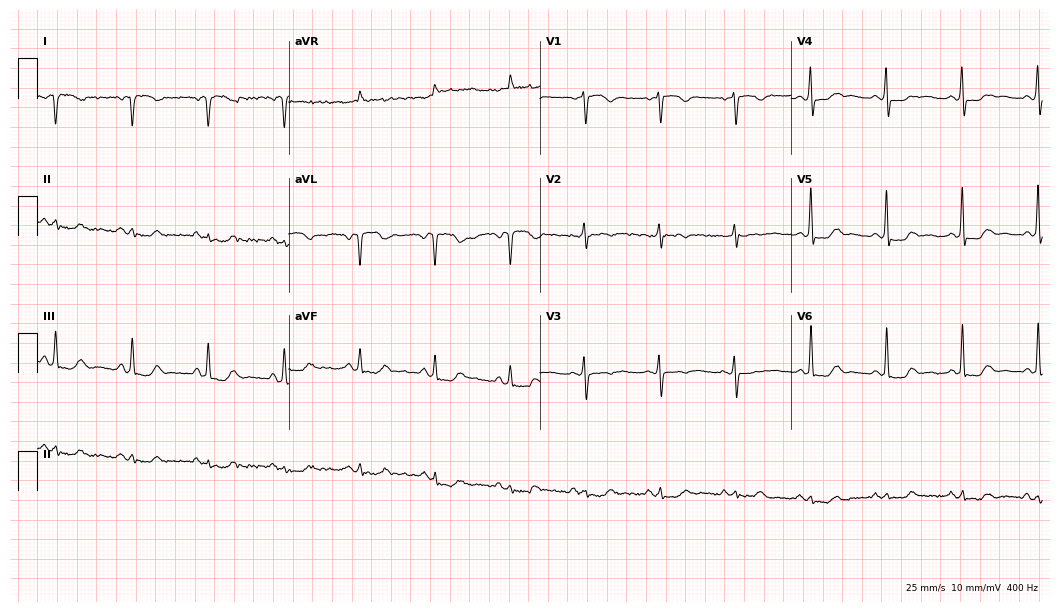
ECG — a female, 59 years old. Screened for six findings — first-degree AV block, right bundle branch block, left bundle branch block, sinus bradycardia, atrial fibrillation, sinus tachycardia — none is recorded.